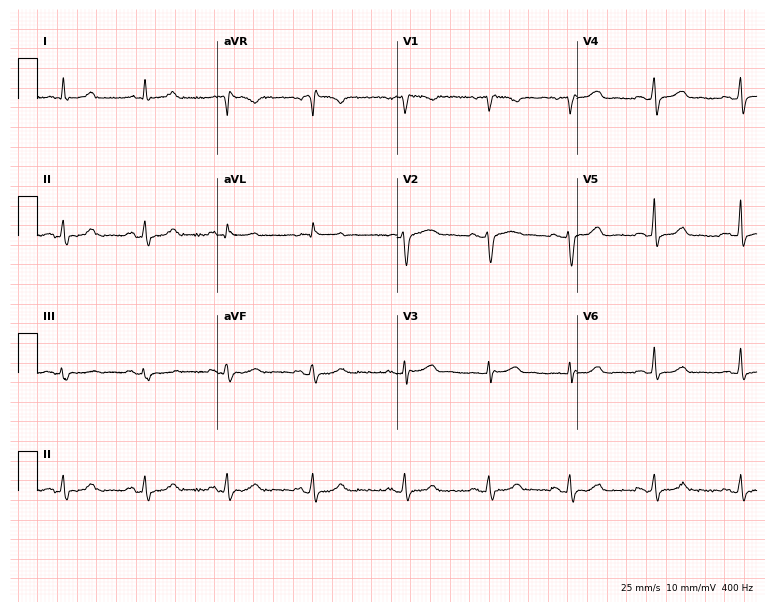
12-lead ECG from a 54-year-old female patient. Recorded interpretation: within normal limits.